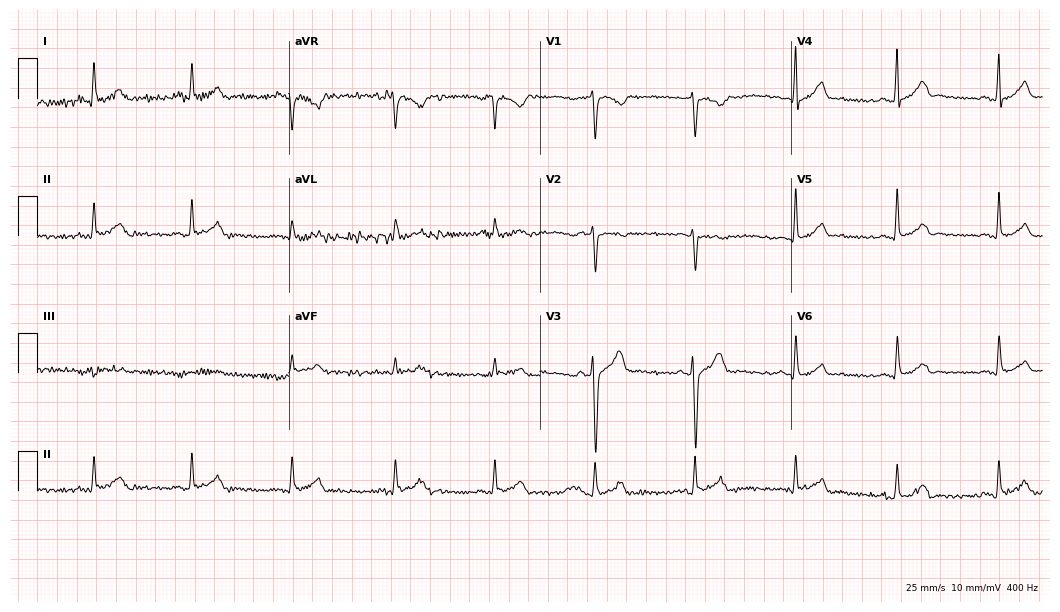
12-lead ECG from a 35-year-old man (10.2-second recording at 400 Hz). Recorded interpretation: within normal limits.